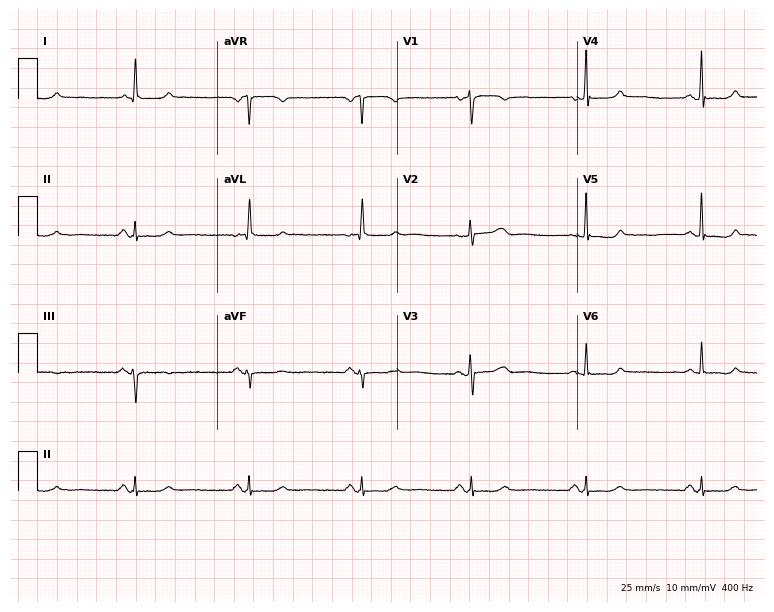
Standard 12-lead ECG recorded from a female, 62 years old. None of these six findings is recorded: first-degree AV block, right bundle branch block, left bundle branch block, sinus bradycardia, atrial fibrillation, sinus tachycardia.